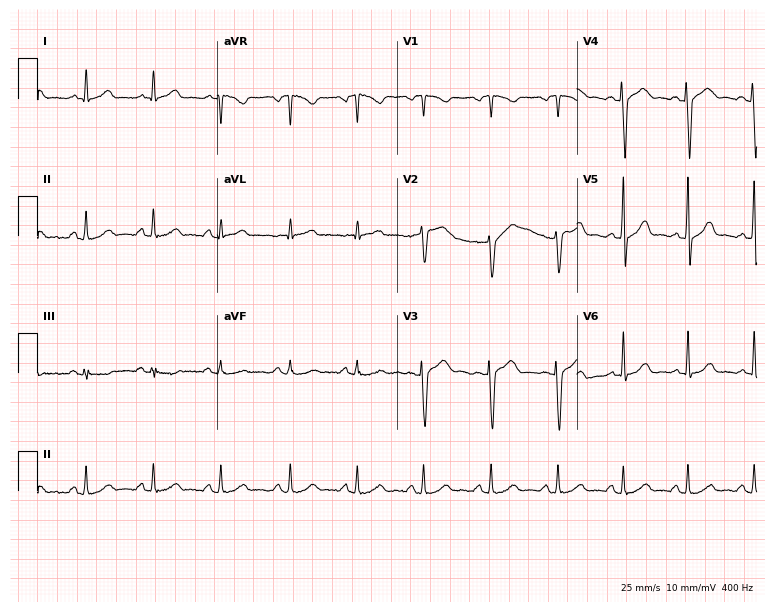
Electrocardiogram, a 31-year-old female patient. Overall reading on record: normal ECG.